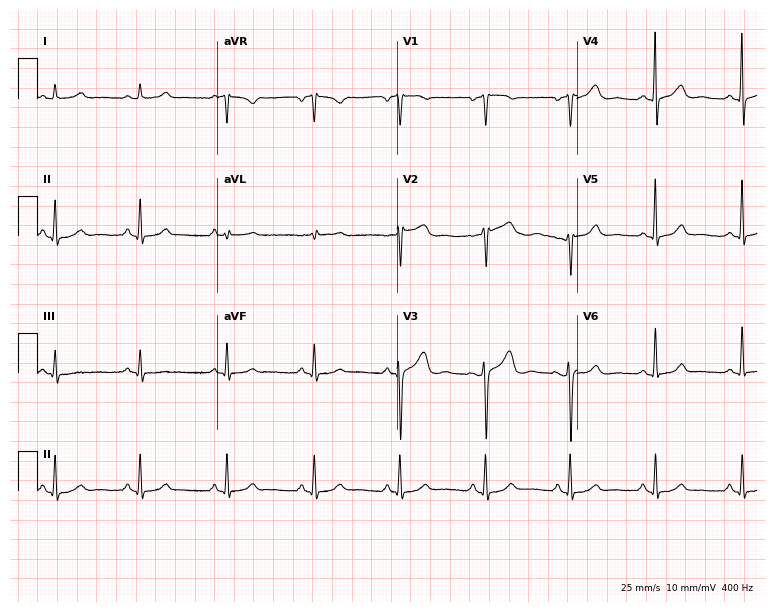
Electrocardiogram, a 58-year-old female patient. Overall reading on record: normal ECG.